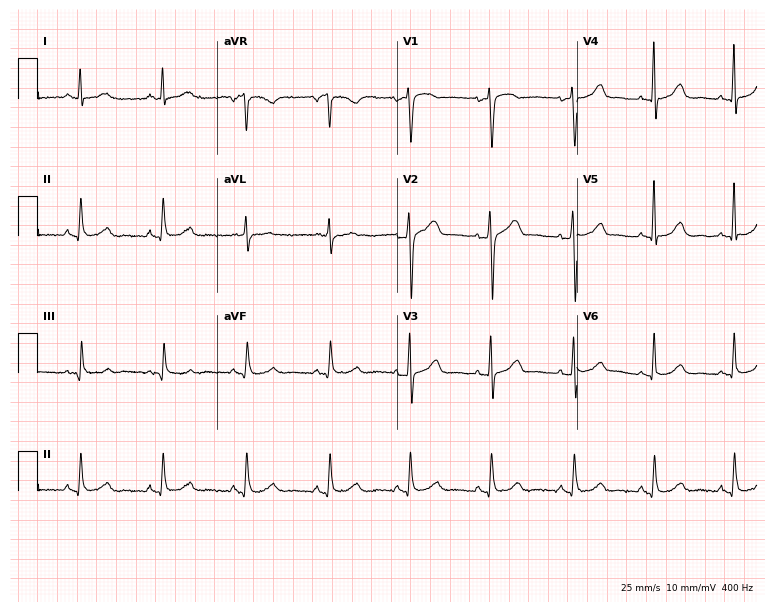
12-lead ECG from a woman, 63 years old (7.3-second recording at 400 Hz). No first-degree AV block, right bundle branch block, left bundle branch block, sinus bradycardia, atrial fibrillation or sinus tachycardia recorded for this tracing.